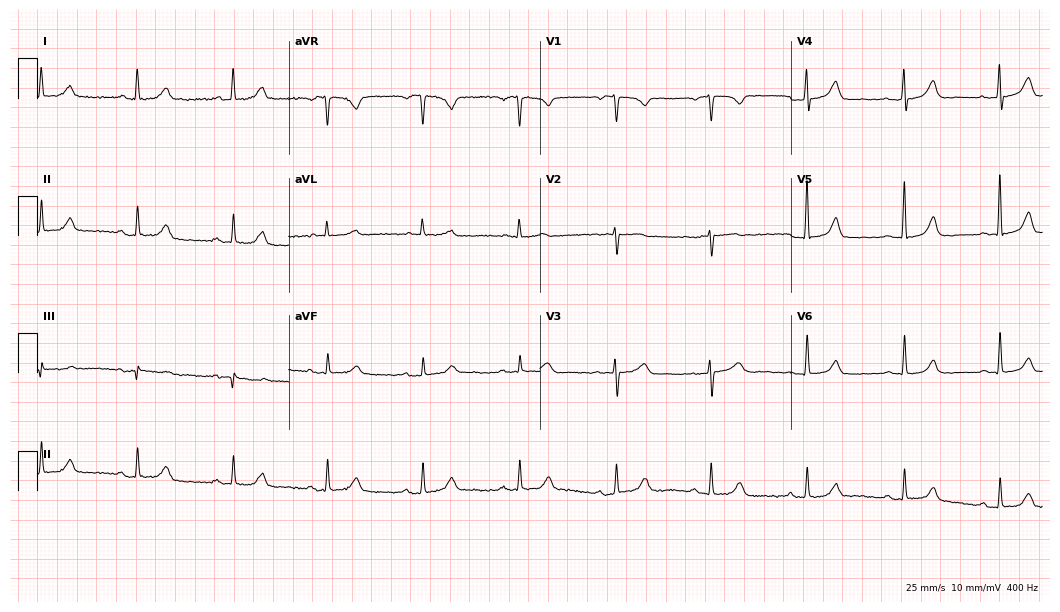
12-lead ECG (10.2-second recording at 400 Hz) from a 68-year-old female patient. Labelled as a normal ECG.